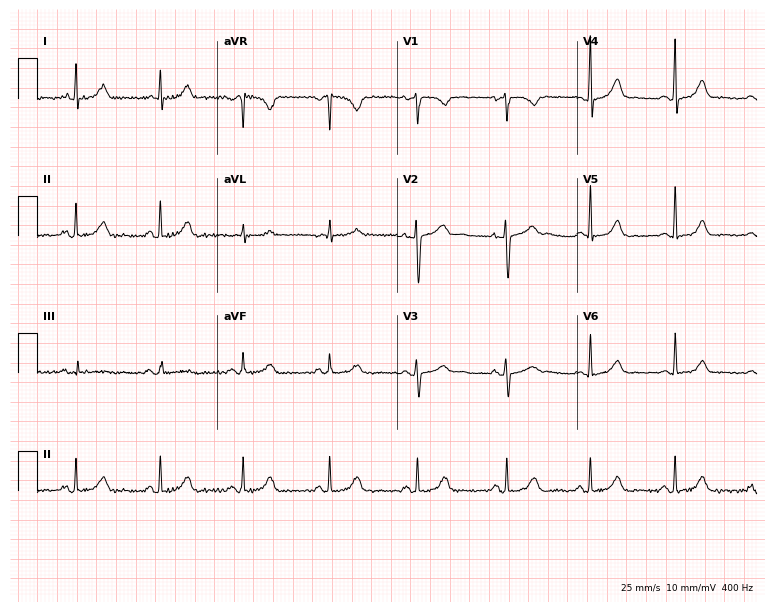
Standard 12-lead ECG recorded from a 24-year-old woman. Read as a normal ECG.